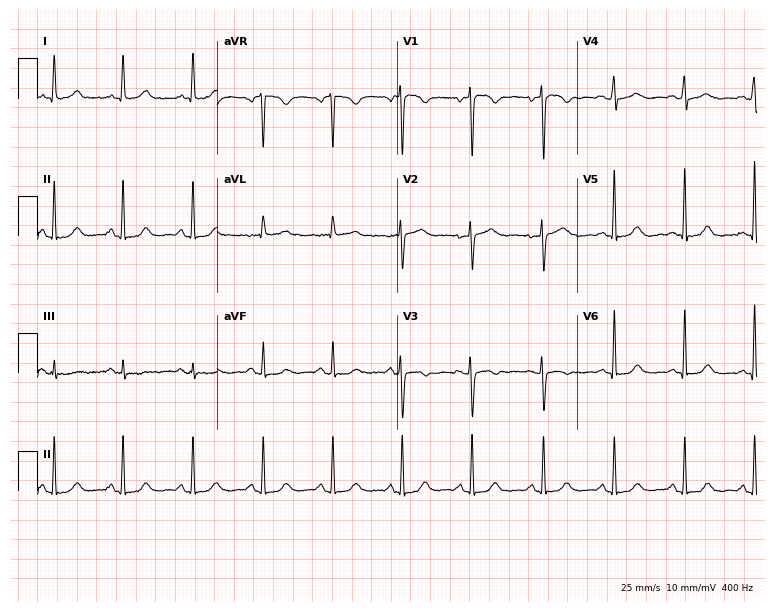
Standard 12-lead ECG recorded from a 66-year-old woman. Read as a normal ECG.